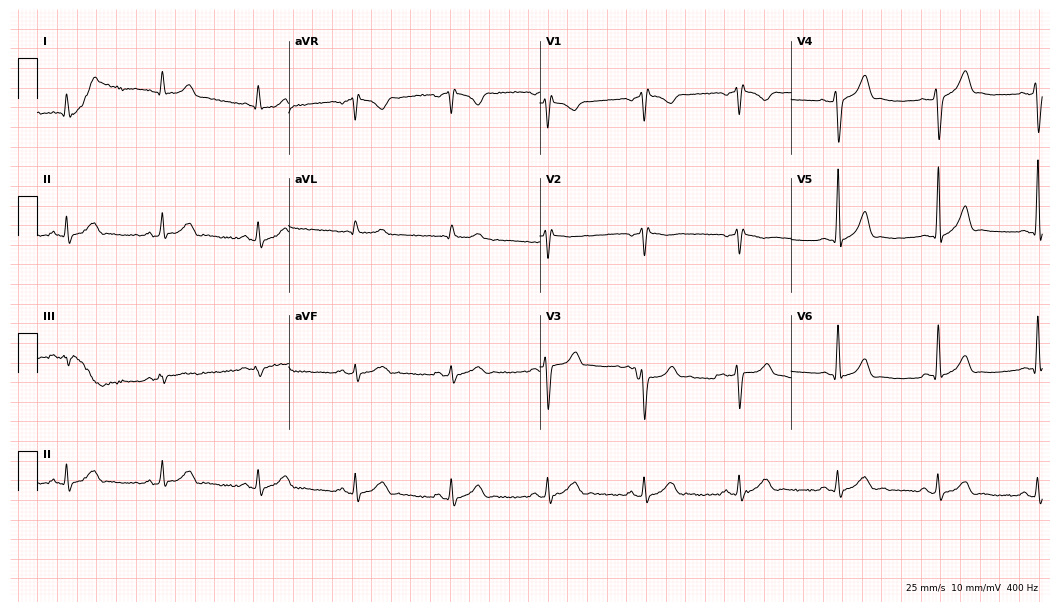
12-lead ECG (10.2-second recording at 400 Hz) from a 37-year-old man. Screened for six findings — first-degree AV block, right bundle branch block, left bundle branch block, sinus bradycardia, atrial fibrillation, sinus tachycardia — none is recorded. Findings outside these six are not listed.